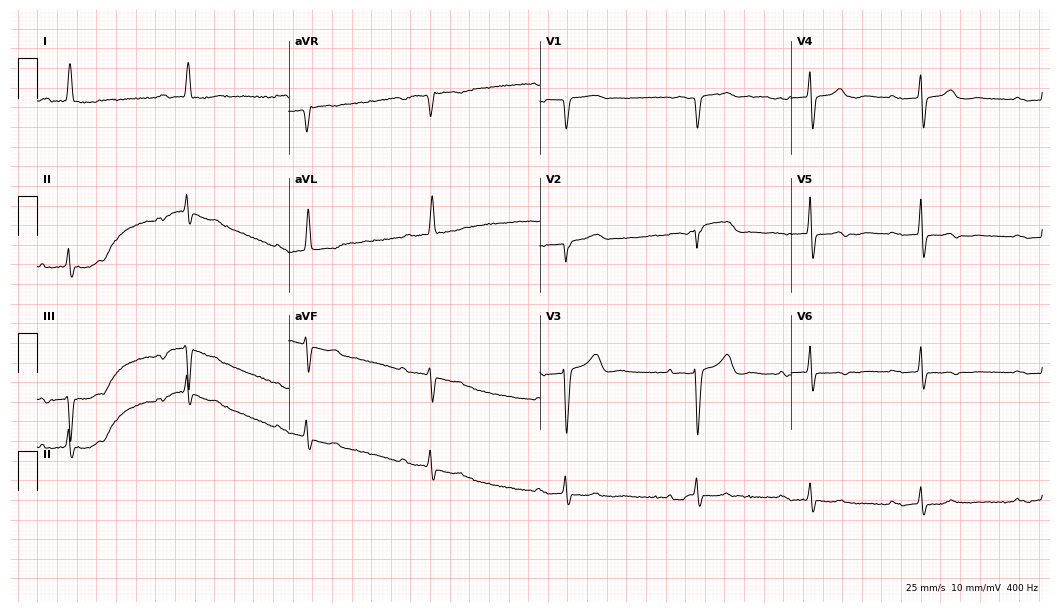
ECG (10.2-second recording at 400 Hz) — a 79-year-old female patient. Findings include first-degree AV block, right bundle branch block (RBBB).